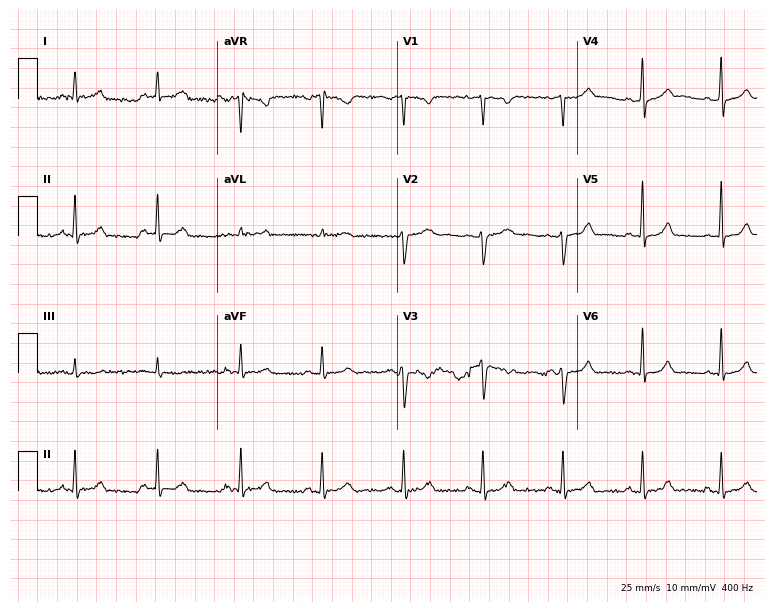
12-lead ECG from a woman, 28 years old (7.3-second recording at 400 Hz). Recorded interpretation: within normal limits.